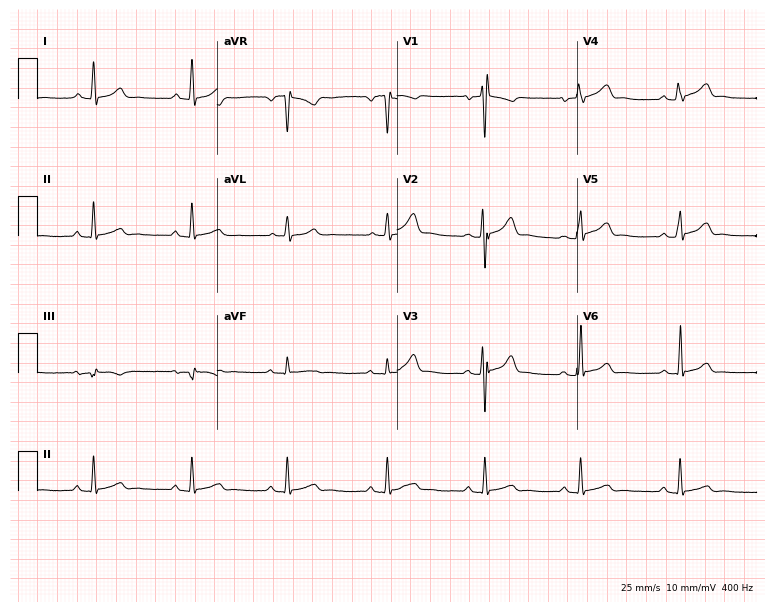
12-lead ECG from a man, 21 years old (7.3-second recording at 400 Hz). No first-degree AV block, right bundle branch block (RBBB), left bundle branch block (LBBB), sinus bradycardia, atrial fibrillation (AF) or sinus tachycardia recorded for this tracing. Other findings, if any, are not listed.